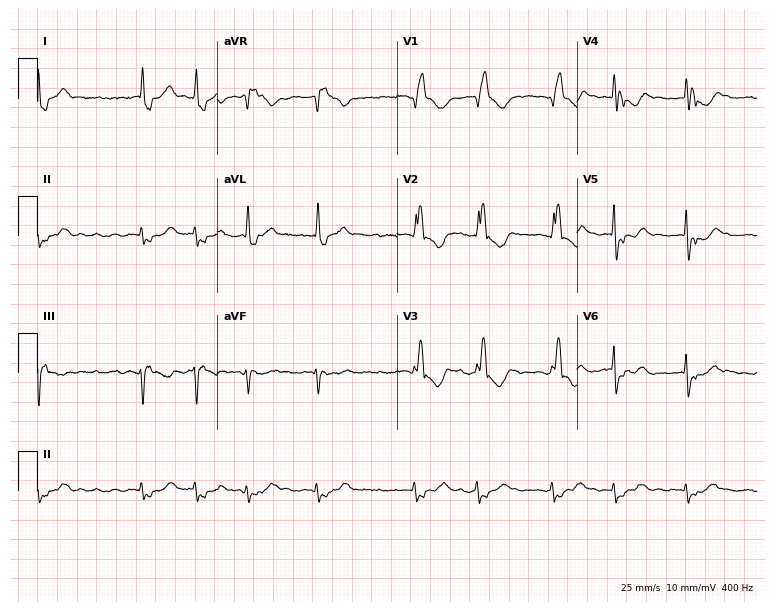
ECG — a 76-year-old man. Findings include right bundle branch block (RBBB), atrial fibrillation (AF).